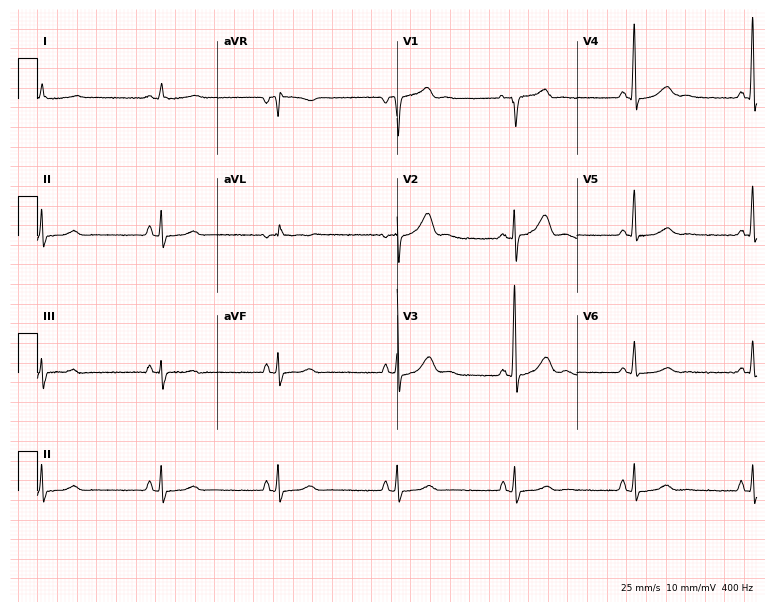
12-lead ECG from a 58-year-old male. Findings include right bundle branch block, sinus bradycardia (a sinus rate of 50 beats per minute or less).